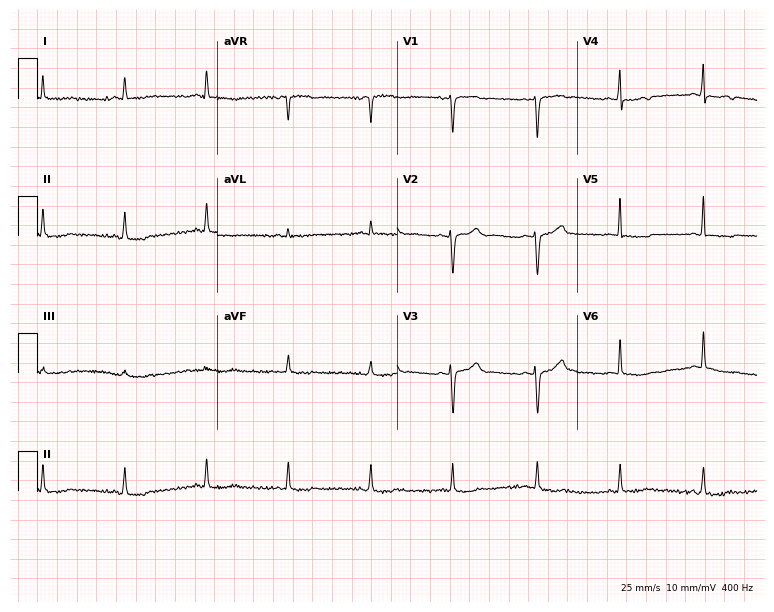
Electrocardiogram (7.3-second recording at 400 Hz), a 47-year-old female. Of the six screened findings (first-degree AV block, right bundle branch block, left bundle branch block, sinus bradycardia, atrial fibrillation, sinus tachycardia), none is recorded.